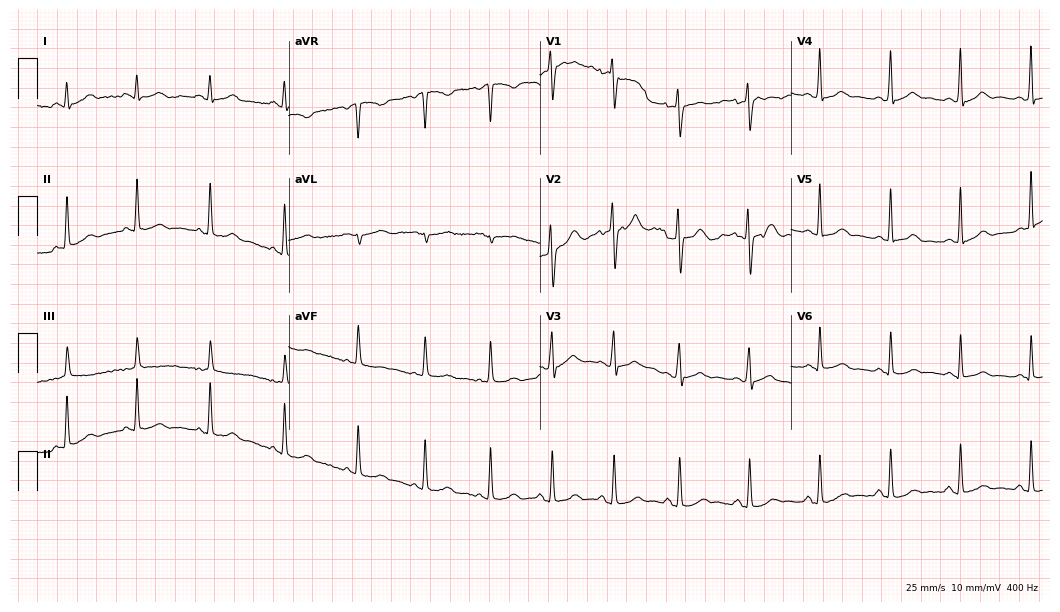
12-lead ECG from a 25-year-old female. Recorded interpretation: within normal limits.